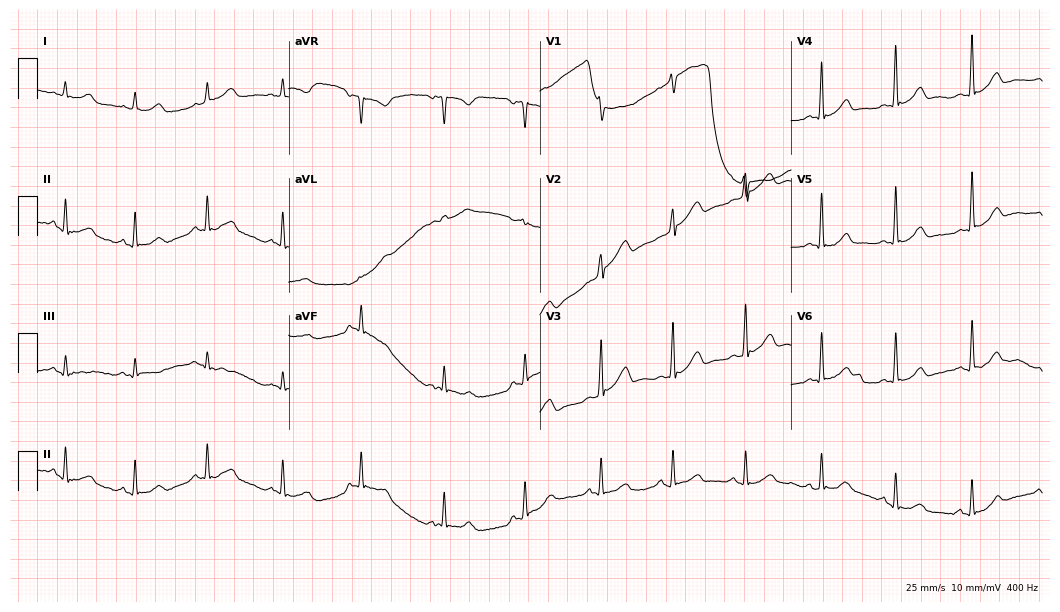
12-lead ECG from a female, 51 years old. Labelled as a normal ECG.